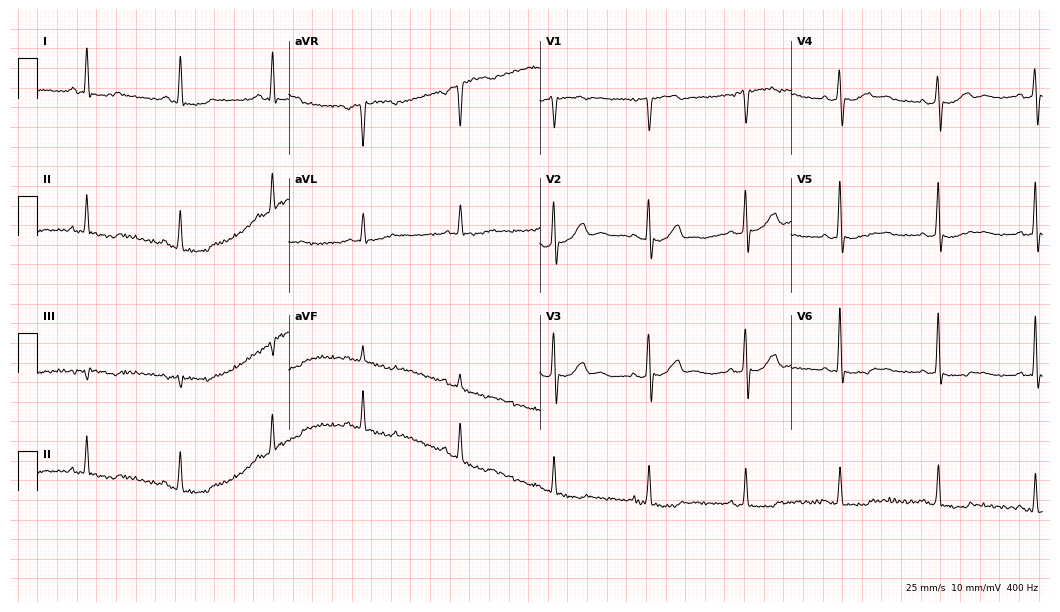
Electrocardiogram, a 62-year-old female. Of the six screened findings (first-degree AV block, right bundle branch block, left bundle branch block, sinus bradycardia, atrial fibrillation, sinus tachycardia), none is recorded. Only these six findings were labelled.